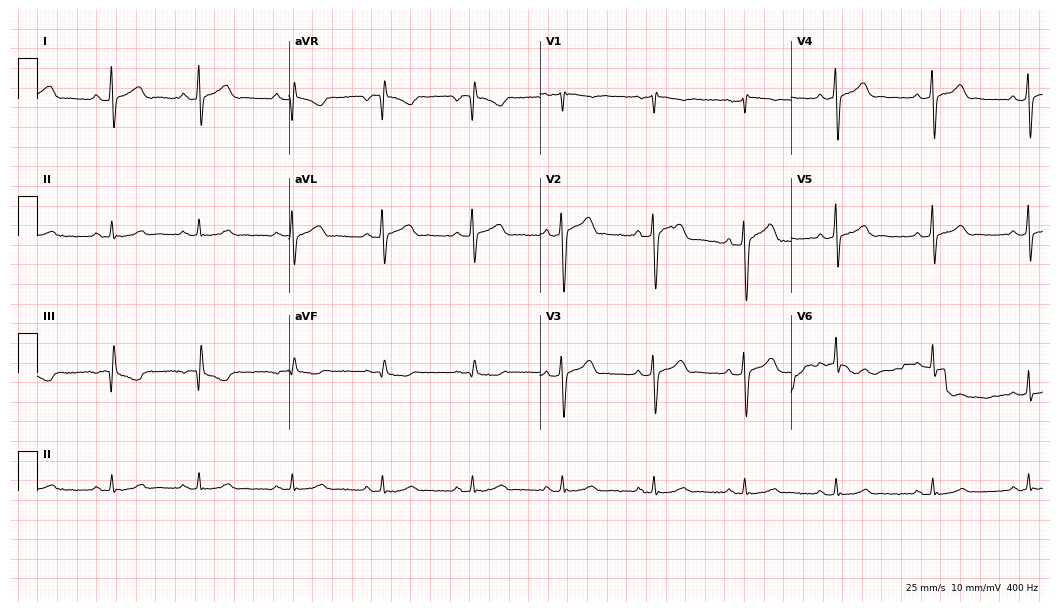
Electrocardiogram, a man, 34 years old. Of the six screened findings (first-degree AV block, right bundle branch block (RBBB), left bundle branch block (LBBB), sinus bradycardia, atrial fibrillation (AF), sinus tachycardia), none is recorded. Only these six findings were labelled.